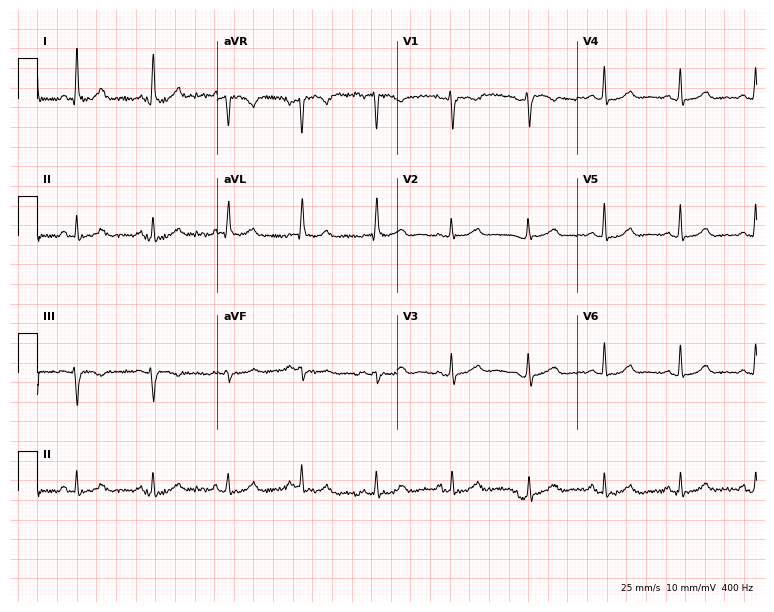
12-lead ECG (7.3-second recording at 400 Hz) from a 53-year-old woman. Labelled as a normal ECG.